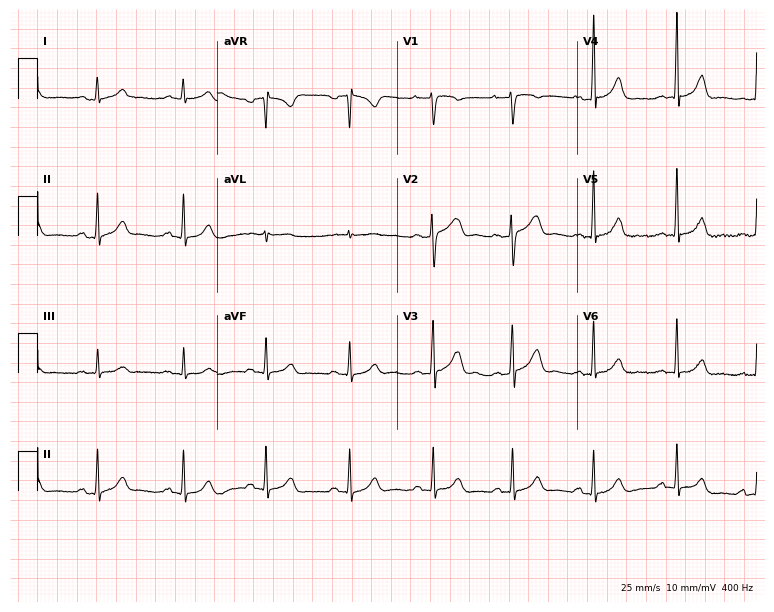
12-lead ECG (7.3-second recording at 400 Hz) from a woman, 43 years old. Screened for six findings — first-degree AV block, right bundle branch block (RBBB), left bundle branch block (LBBB), sinus bradycardia, atrial fibrillation (AF), sinus tachycardia — none is recorded.